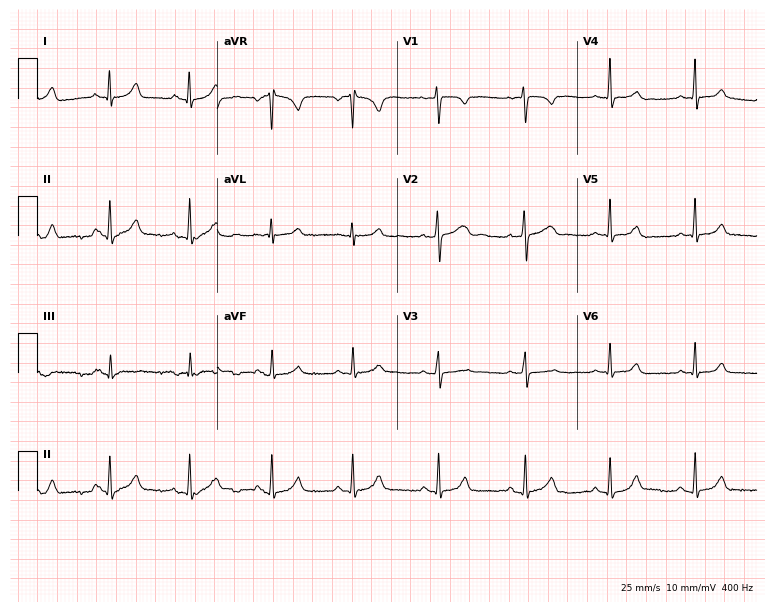
ECG (7.3-second recording at 400 Hz) — a woman, 20 years old. Labelled as a normal ECG.